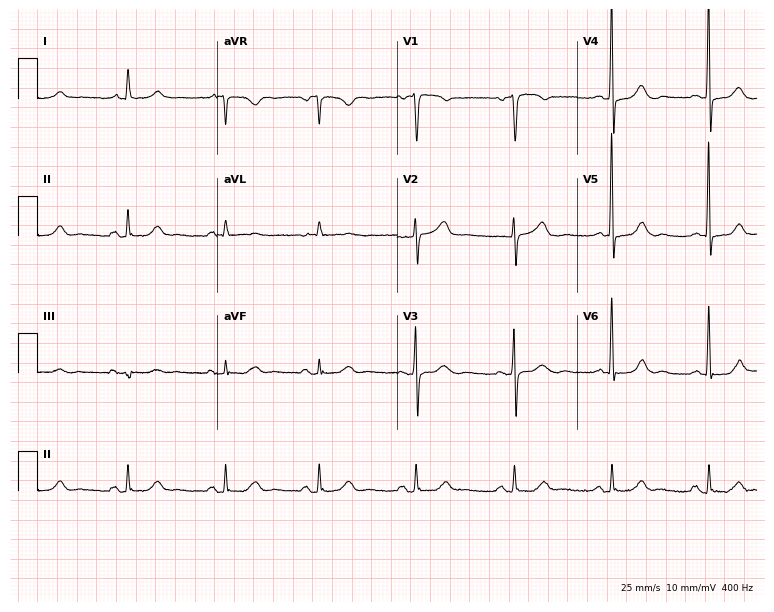
Electrocardiogram (7.3-second recording at 400 Hz), a 77-year-old female patient. Of the six screened findings (first-degree AV block, right bundle branch block (RBBB), left bundle branch block (LBBB), sinus bradycardia, atrial fibrillation (AF), sinus tachycardia), none is recorded. Other findings, if any, are not listed.